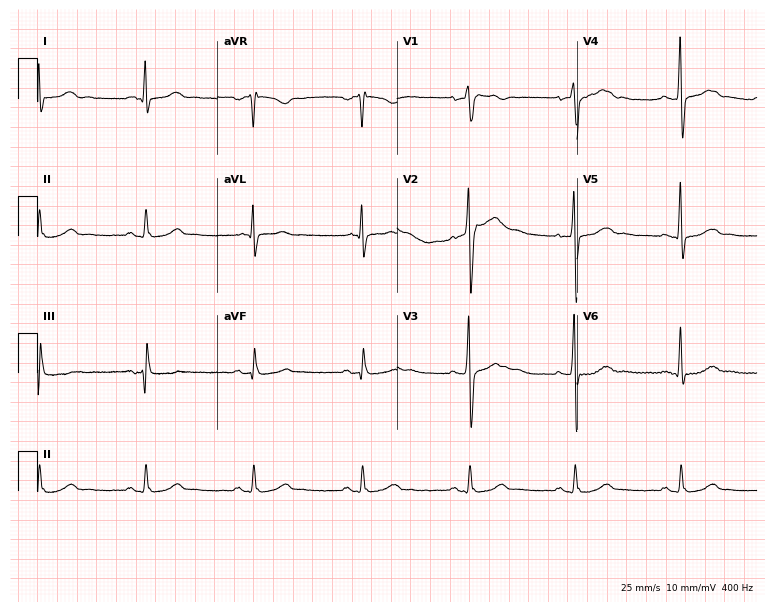
Resting 12-lead electrocardiogram (7.3-second recording at 400 Hz). Patient: a man, 63 years old. Read as a normal ECG.